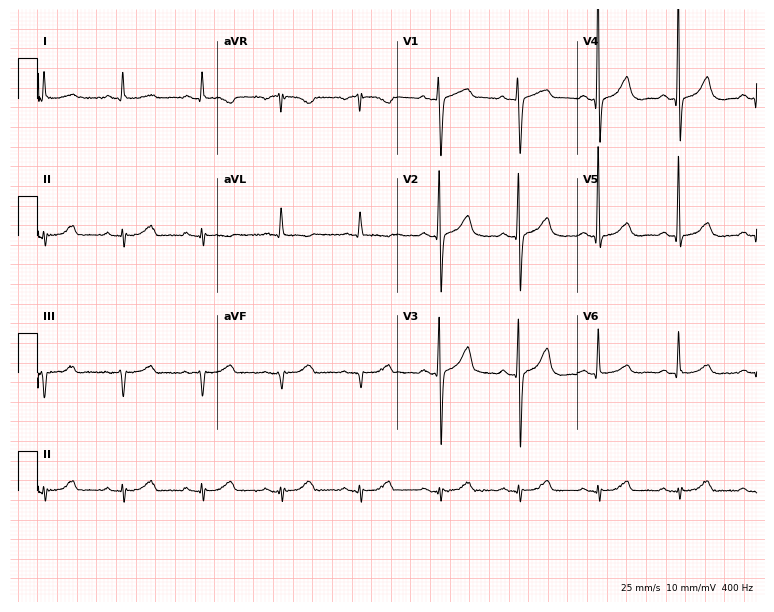
Resting 12-lead electrocardiogram (7.3-second recording at 400 Hz). Patient: a female, 81 years old. None of these six findings is recorded: first-degree AV block, right bundle branch block (RBBB), left bundle branch block (LBBB), sinus bradycardia, atrial fibrillation (AF), sinus tachycardia.